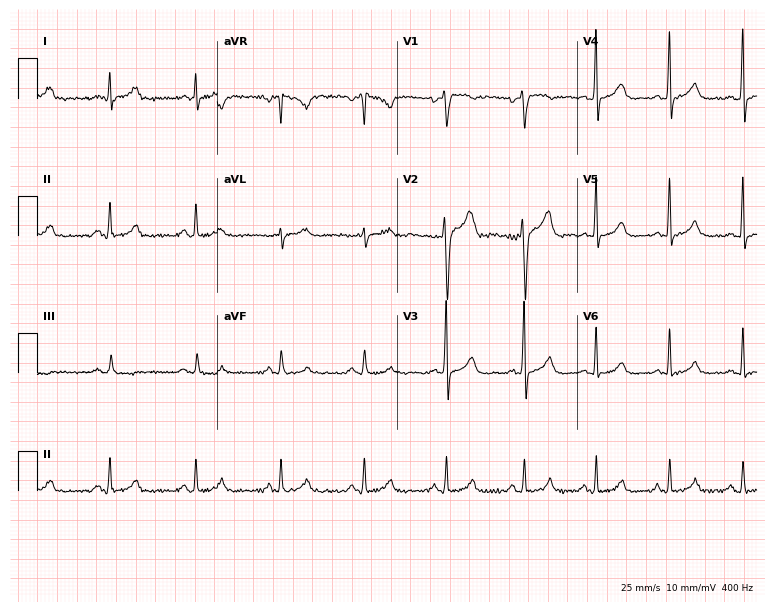
12-lead ECG (7.3-second recording at 400 Hz) from a 37-year-old man. Screened for six findings — first-degree AV block, right bundle branch block, left bundle branch block, sinus bradycardia, atrial fibrillation, sinus tachycardia — none is recorded. Findings outside these six are not listed.